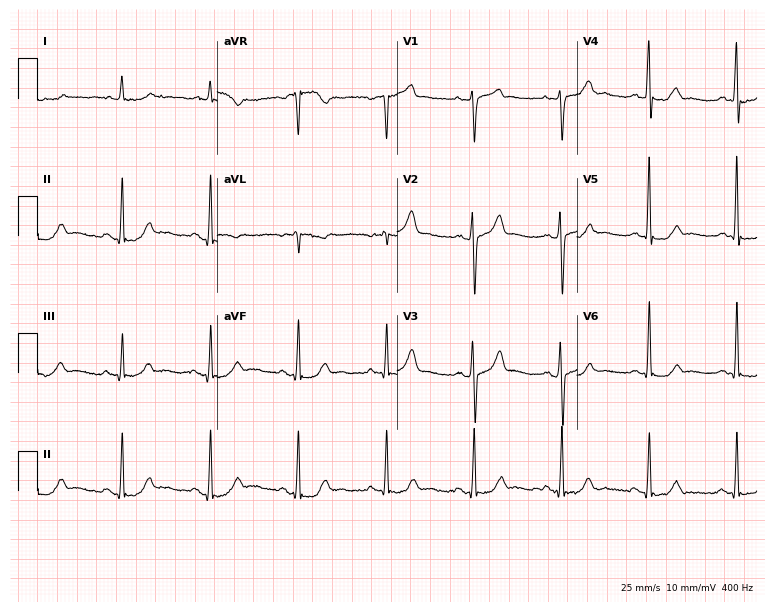
12-lead ECG from a man, 85 years old. No first-degree AV block, right bundle branch block (RBBB), left bundle branch block (LBBB), sinus bradycardia, atrial fibrillation (AF) or sinus tachycardia recorded for this tracing. Other findings, if any, are not listed.